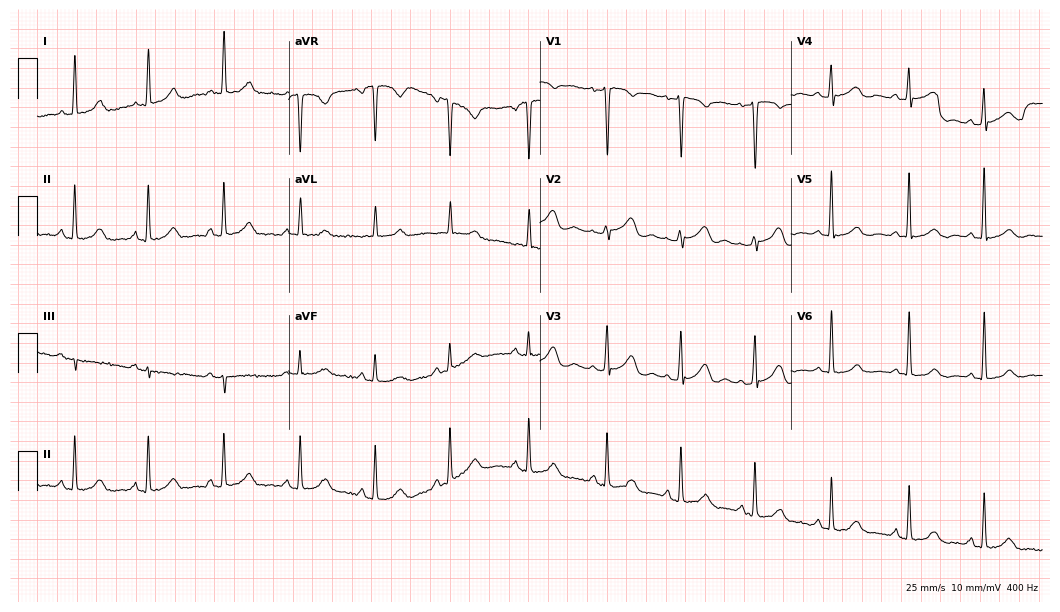
Standard 12-lead ECG recorded from a female patient, 59 years old (10.2-second recording at 400 Hz). Read as a normal ECG.